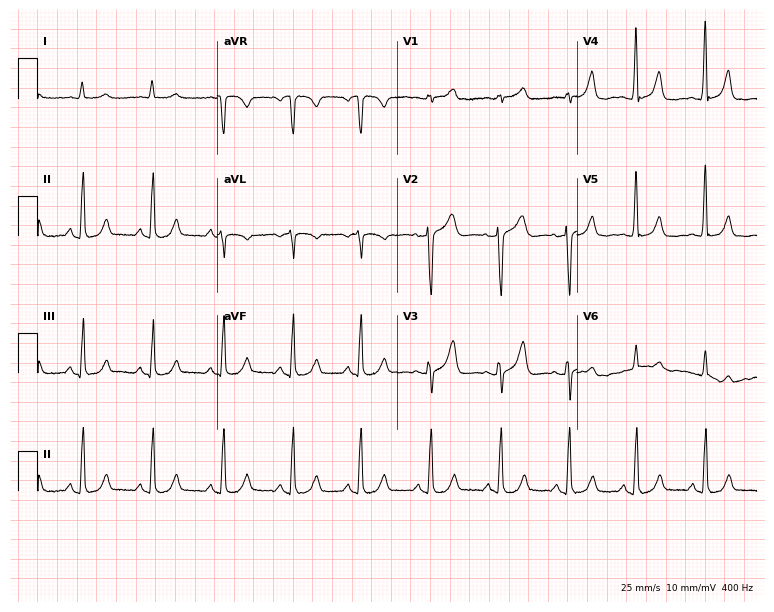
Resting 12-lead electrocardiogram (7.3-second recording at 400 Hz). Patient: a 48-year-old woman. None of these six findings is recorded: first-degree AV block, right bundle branch block (RBBB), left bundle branch block (LBBB), sinus bradycardia, atrial fibrillation (AF), sinus tachycardia.